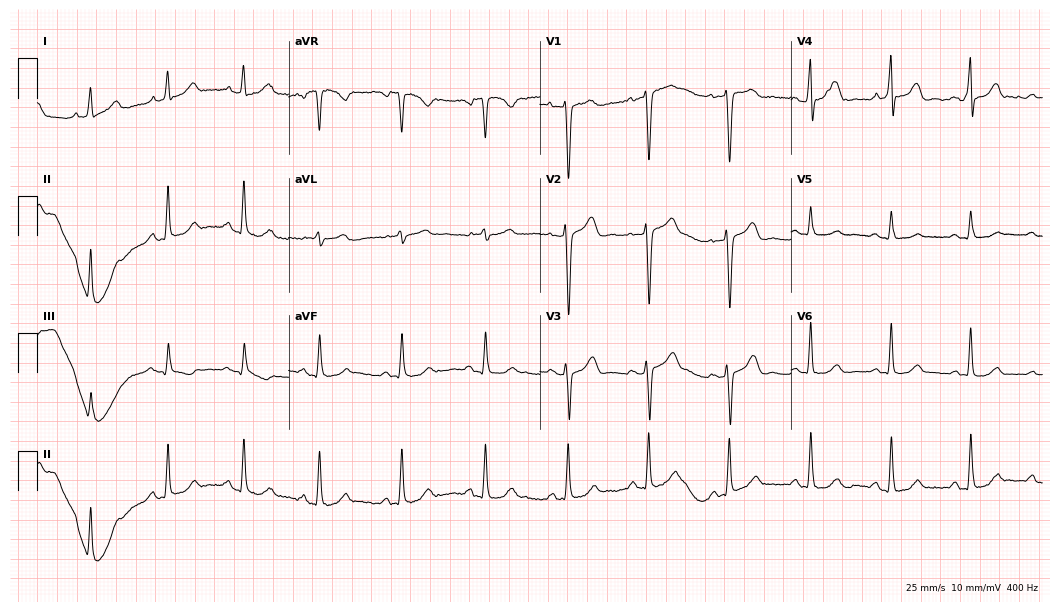
Standard 12-lead ECG recorded from a female patient, 46 years old. Read as a normal ECG.